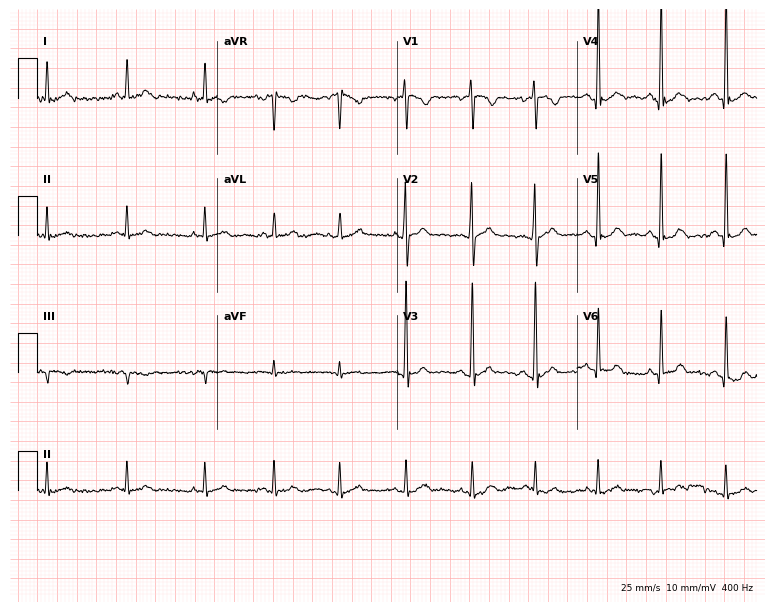
Resting 12-lead electrocardiogram. Patient: a male, 18 years old. None of these six findings is recorded: first-degree AV block, right bundle branch block (RBBB), left bundle branch block (LBBB), sinus bradycardia, atrial fibrillation (AF), sinus tachycardia.